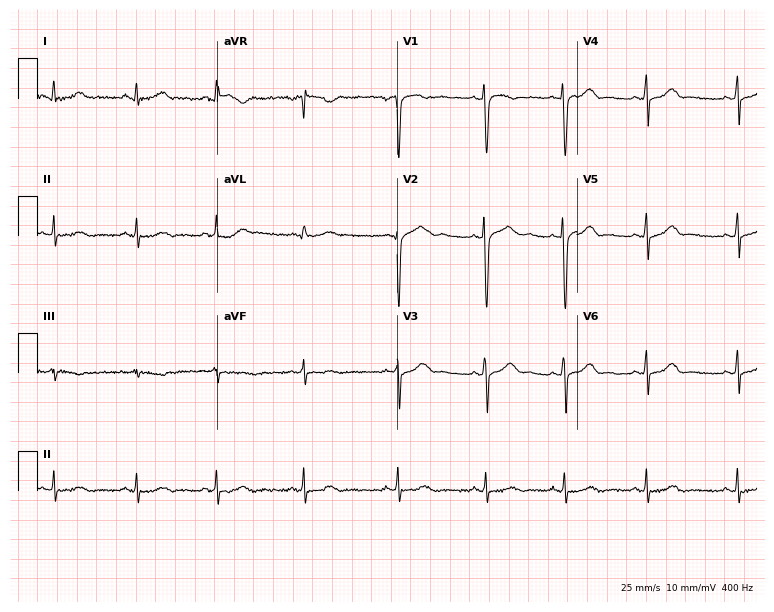
Electrocardiogram, a female, 25 years old. Of the six screened findings (first-degree AV block, right bundle branch block (RBBB), left bundle branch block (LBBB), sinus bradycardia, atrial fibrillation (AF), sinus tachycardia), none is recorded. Other findings, if any, are not listed.